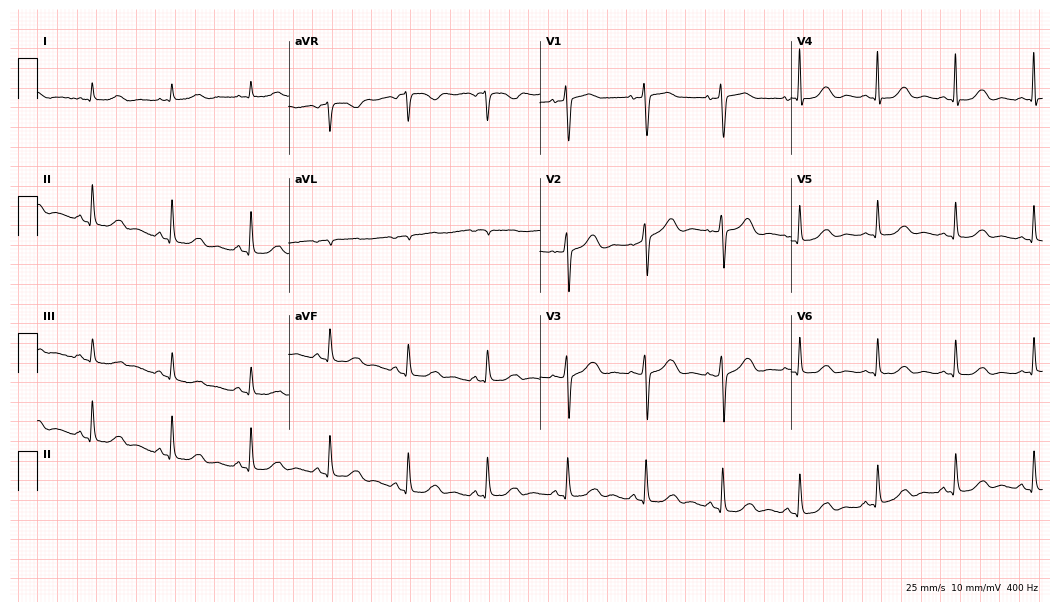
Resting 12-lead electrocardiogram (10.2-second recording at 400 Hz). Patient: a 65-year-old female. Read as a normal ECG.